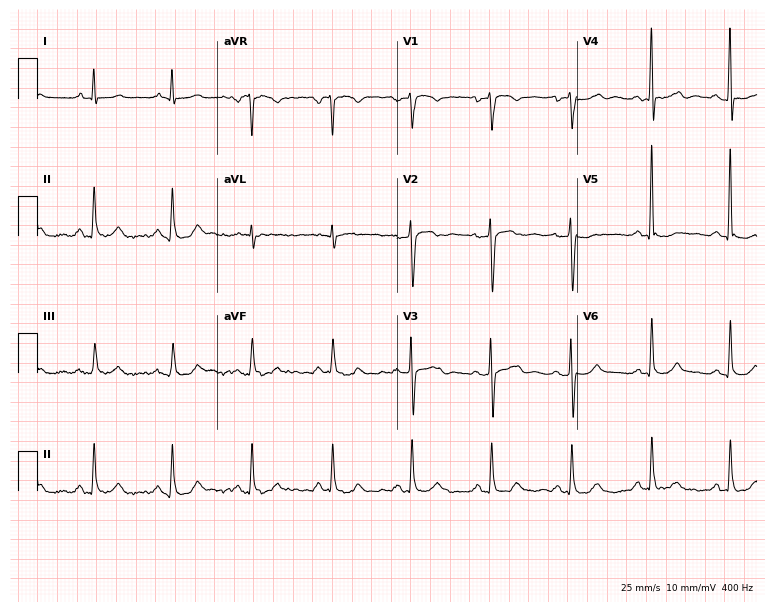
Resting 12-lead electrocardiogram (7.3-second recording at 400 Hz). Patient: a 57-year-old male. None of these six findings is recorded: first-degree AV block, right bundle branch block, left bundle branch block, sinus bradycardia, atrial fibrillation, sinus tachycardia. Findings outside these six are not listed.